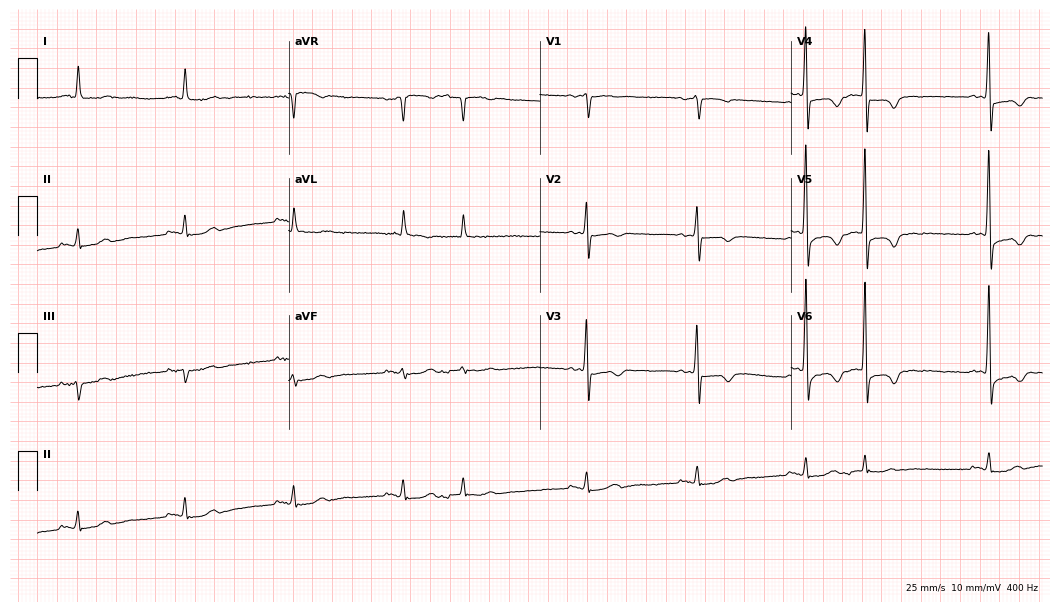
Standard 12-lead ECG recorded from a male patient, 77 years old (10.2-second recording at 400 Hz). None of these six findings is recorded: first-degree AV block, right bundle branch block (RBBB), left bundle branch block (LBBB), sinus bradycardia, atrial fibrillation (AF), sinus tachycardia.